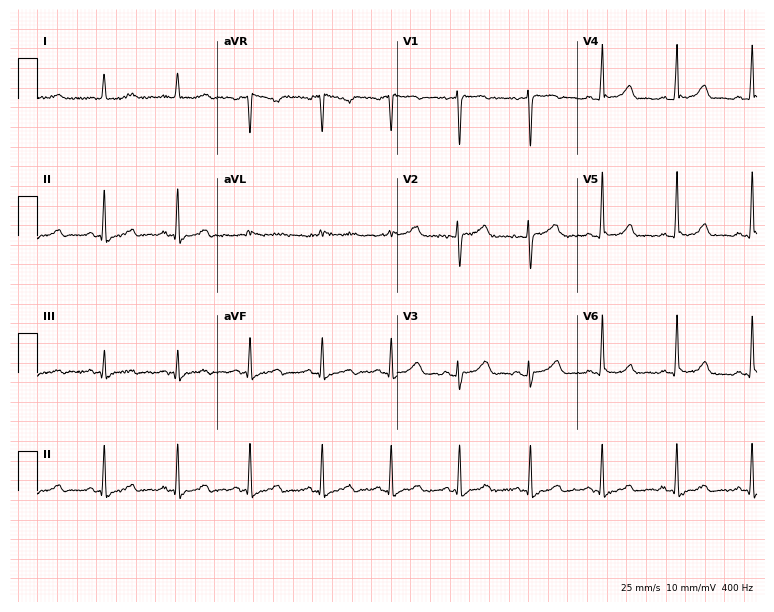
Electrocardiogram (7.3-second recording at 400 Hz), a 36-year-old female. Overall reading on record: normal ECG.